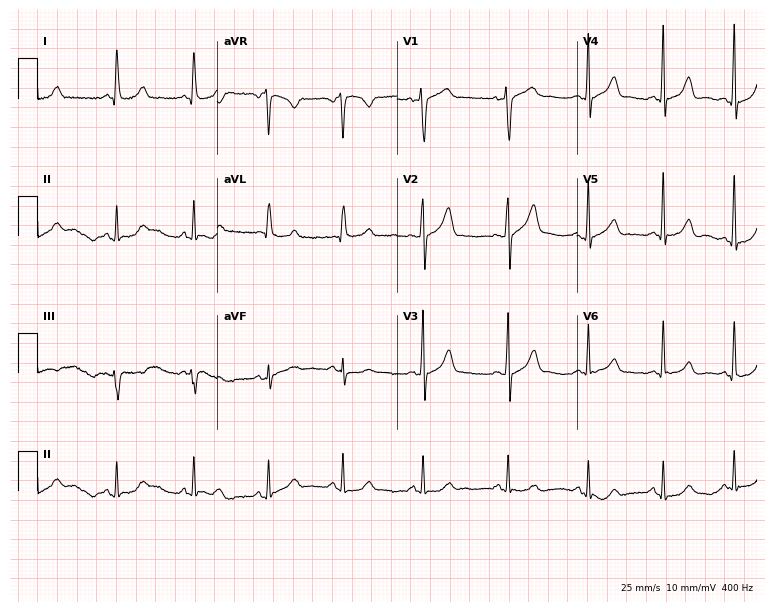
12-lead ECG from a 54-year-old man. Recorded interpretation: within normal limits.